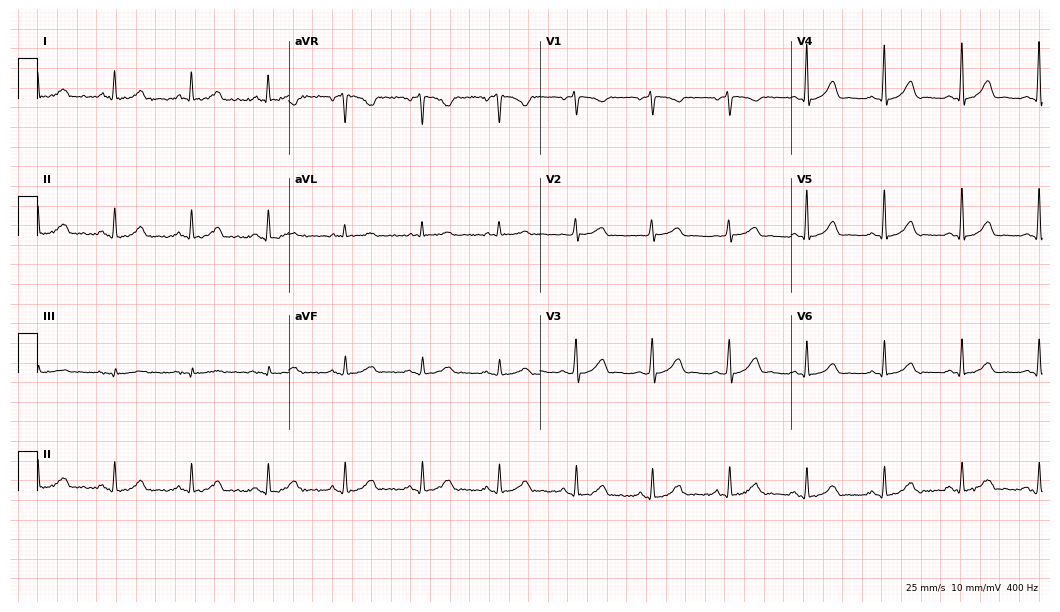
ECG (10.2-second recording at 400 Hz) — a female, 80 years old. Labelled as a normal ECG.